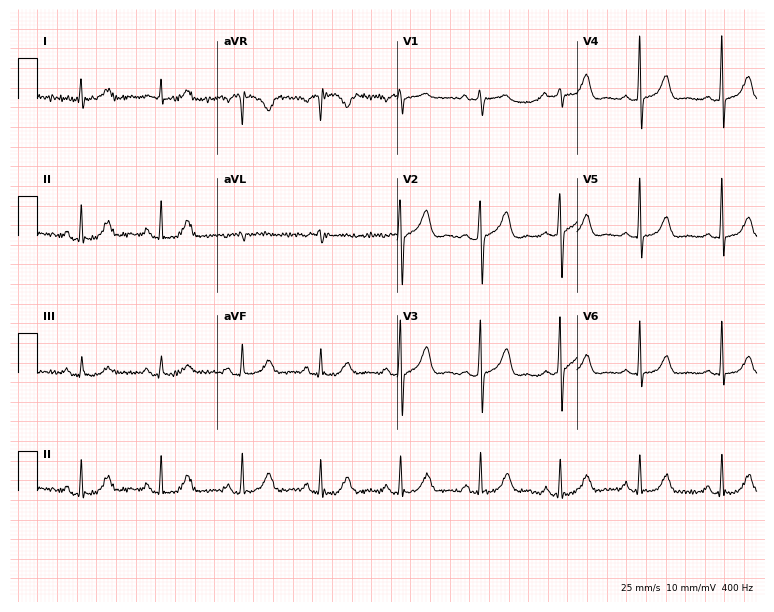
12-lead ECG from a female, 67 years old (7.3-second recording at 400 Hz). Recorded interpretation: within normal limits.